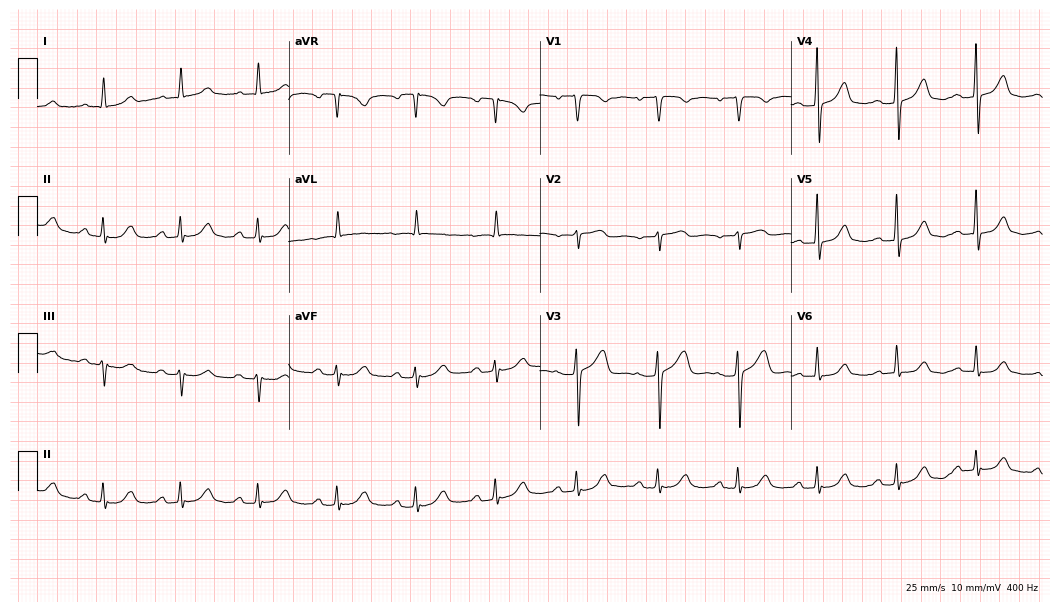
Electrocardiogram, a woman, 65 years old. Interpretation includes first-degree AV block.